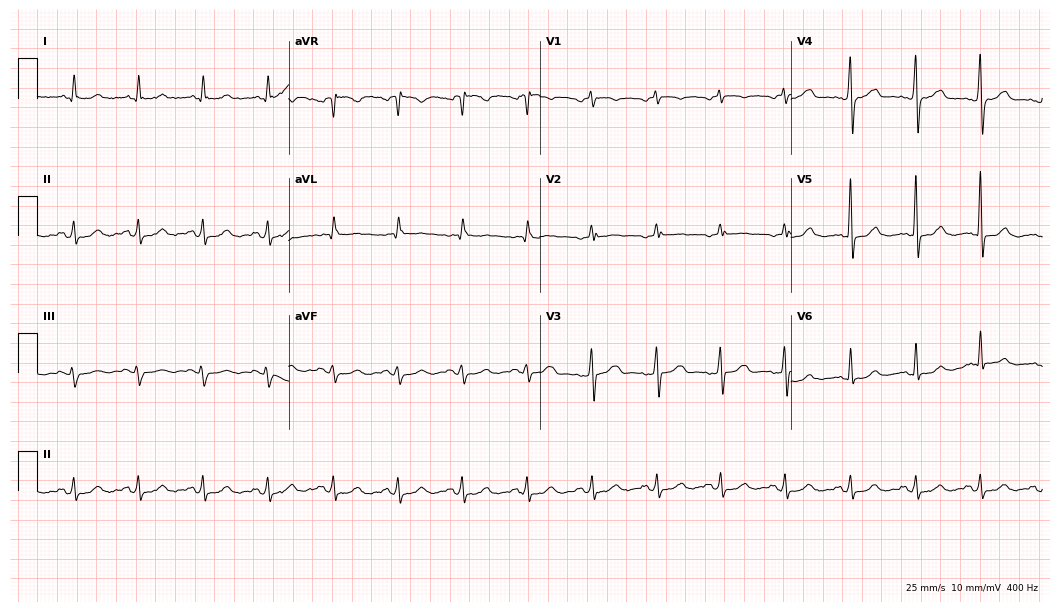
ECG — a 58-year-old female. Labelled as a normal ECG.